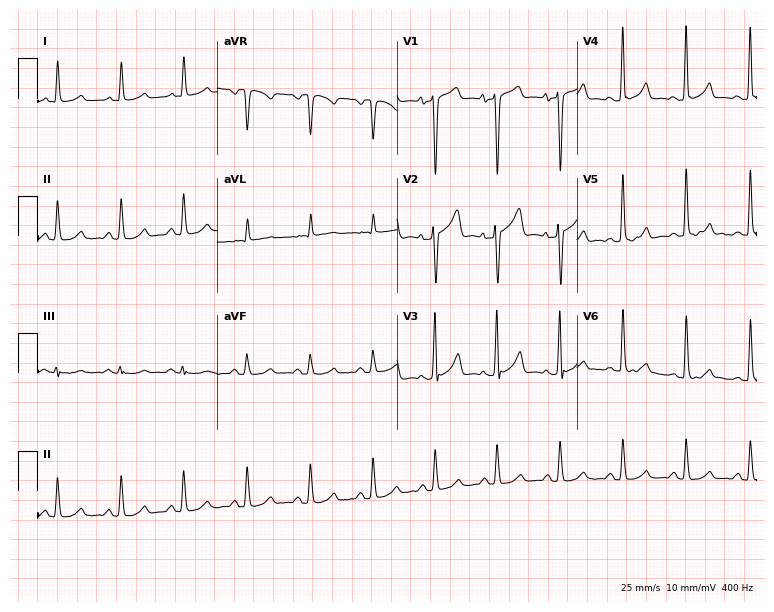
Electrocardiogram, a man, 53 years old. Of the six screened findings (first-degree AV block, right bundle branch block, left bundle branch block, sinus bradycardia, atrial fibrillation, sinus tachycardia), none is recorded. Findings outside these six are not listed.